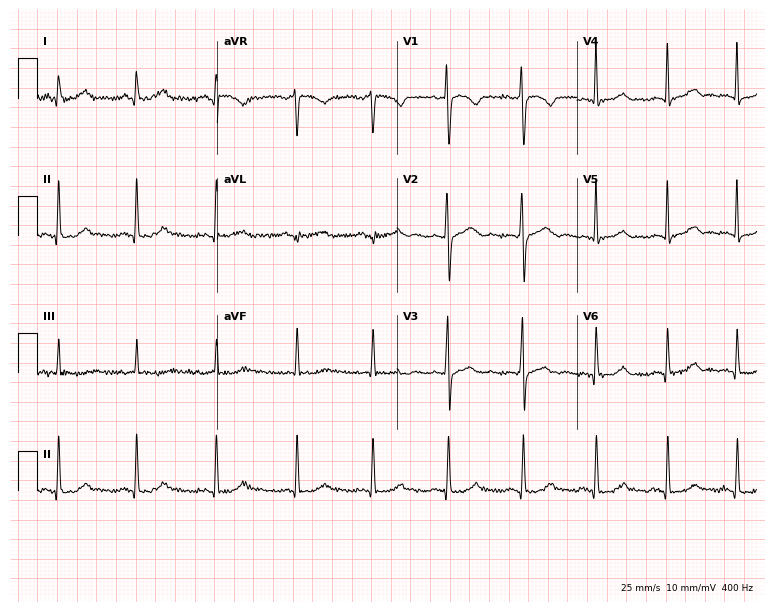
ECG (7.3-second recording at 400 Hz) — a 38-year-old female patient. Screened for six findings — first-degree AV block, right bundle branch block (RBBB), left bundle branch block (LBBB), sinus bradycardia, atrial fibrillation (AF), sinus tachycardia — none is recorded. Findings outside these six are not listed.